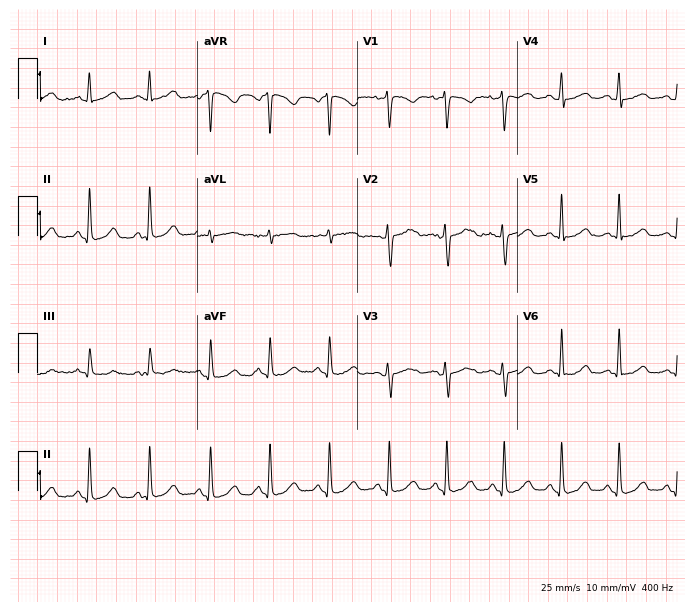
ECG (6.5-second recording at 400 Hz) — a 28-year-old female patient. Labelled as a normal ECG.